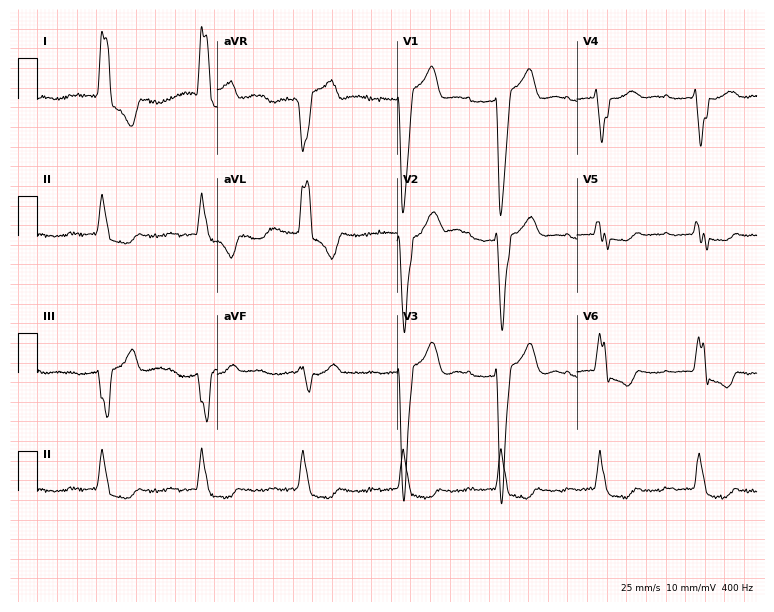
Electrocardiogram (7.3-second recording at 400 Hz), a woman, 83 years old. Of the six screened findings (first-degree AV block, right bundle branch block, left bundle branch block, sinus bradycardia, atrial fibrillation, sinus tachycardia), none is recorded. Other findings, if any, are not listed.